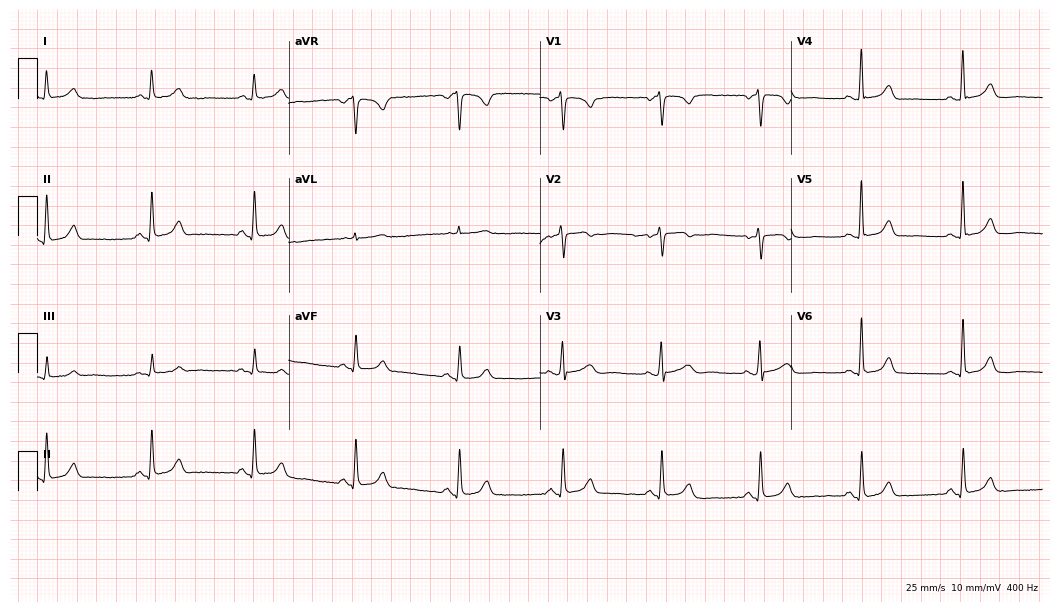
Standard 12-lead ECG recorded from a 43-year-old female patient (10.2-second recording at 400 Hz). Read as a normal ECG.